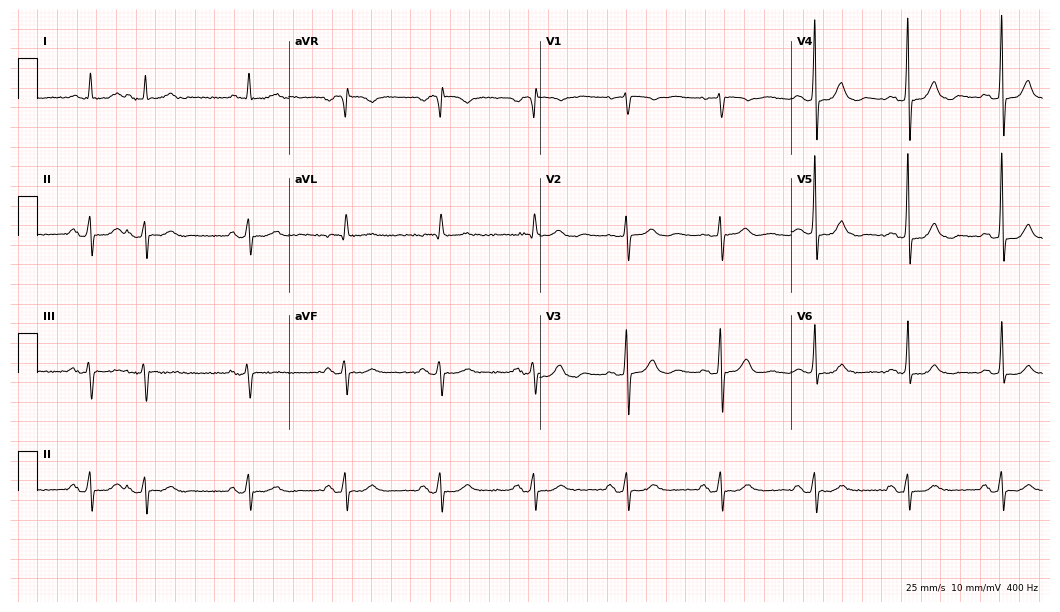
Electrocardiogram (10.2-second recording at 400 Hz), an 80-year-old man. Of the six screened findings (first-degree AV block, right bundle branch block (RBBB), left bundle branch block (LBBB), sinus bradycardia, atrial fibrillation (AF), sinus tachycardia), none is recorded.